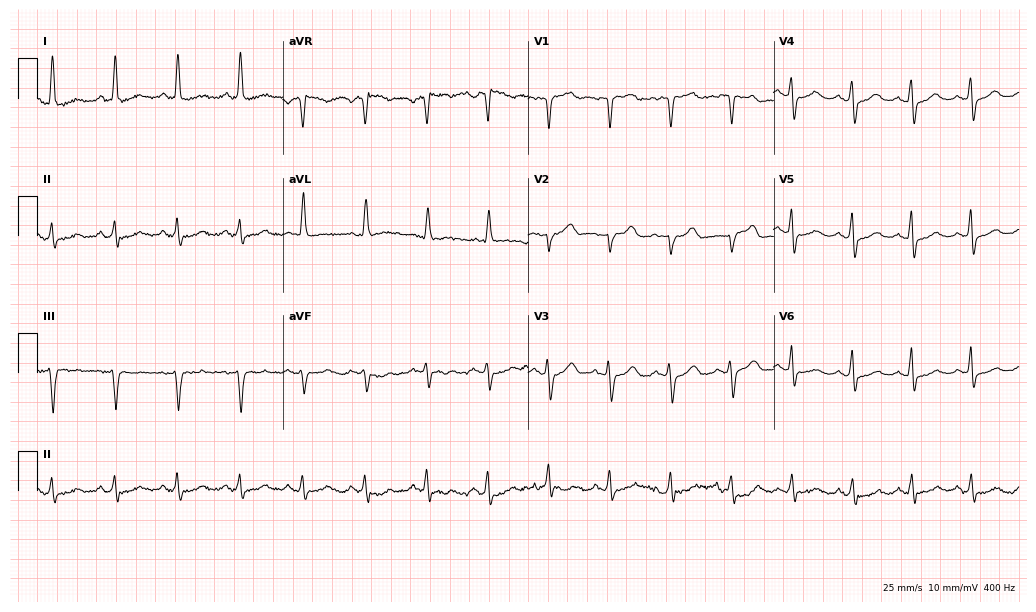
Resting 12-lead electrocardiogram. Patient: a 53-year-old female. None of these six findings is recorded: first-degree AV block, right bundle branch block (RBBB), left bundle branch block (LBBB), sinus bradycardia, atrial fibrillation (AF), sinus tachycardia. Other findings, if any, are not listed.